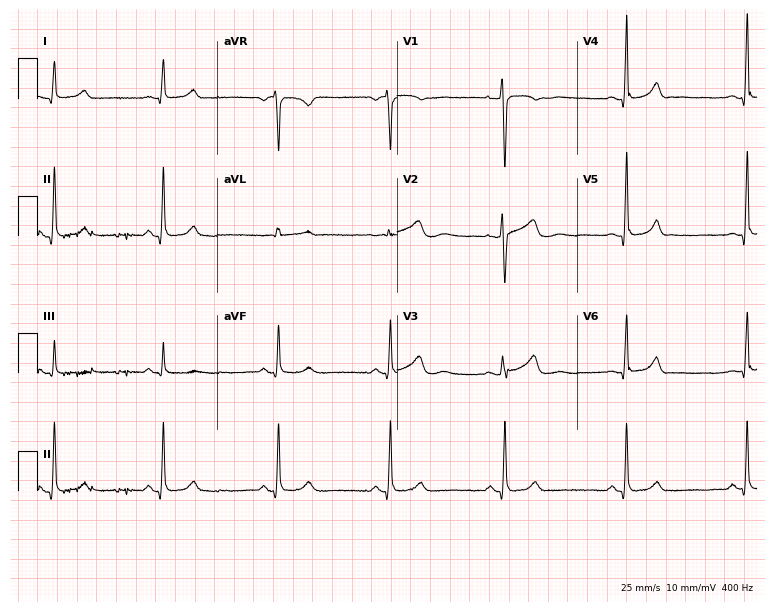
ECG (7.3-second recording at 400 Hz) — a 46-year-old female. Labelled as a normal ECG.